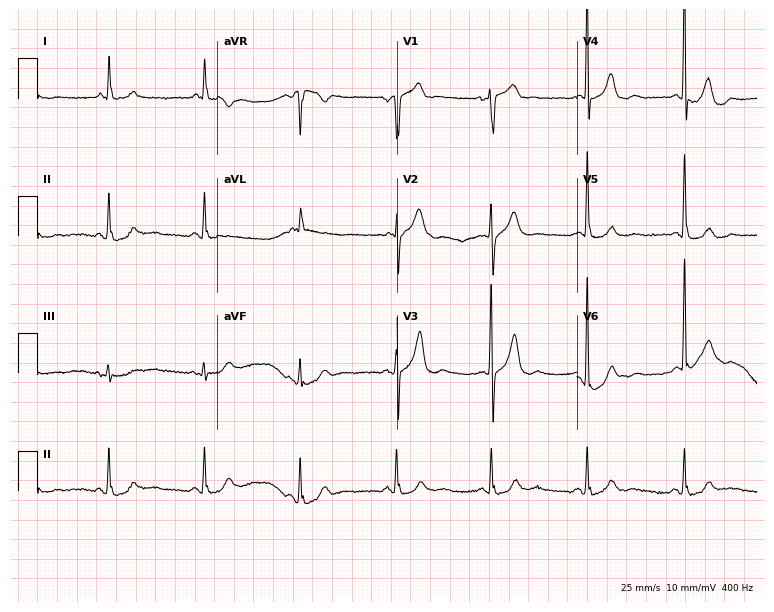
12-lead ECG from a man, 70 years old. Labelled as a normal ECG.